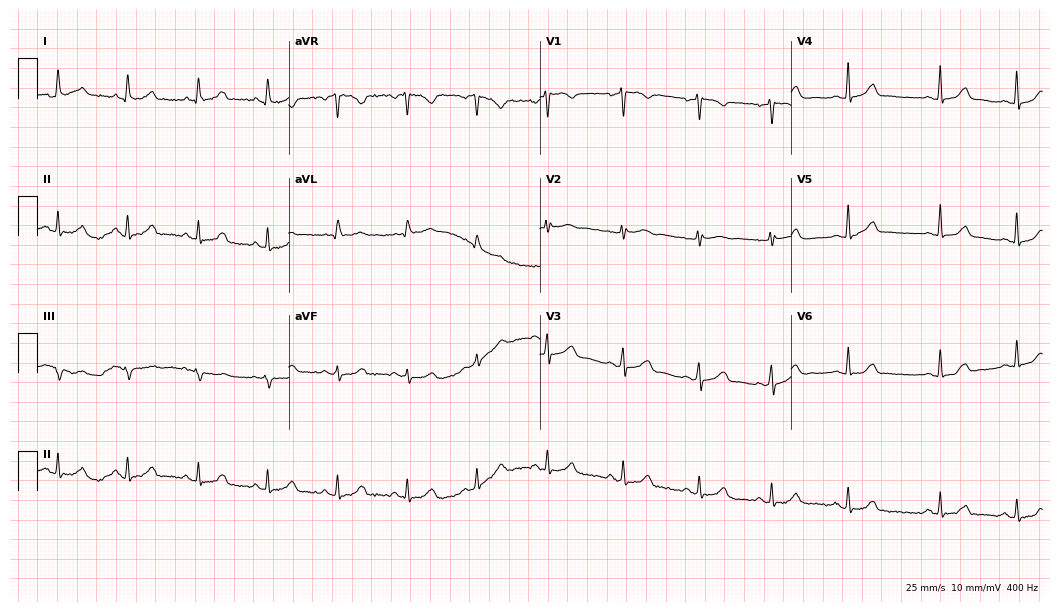
Electrocardiogram, a 33-year-old female. Overall reading on record: normal ECG.